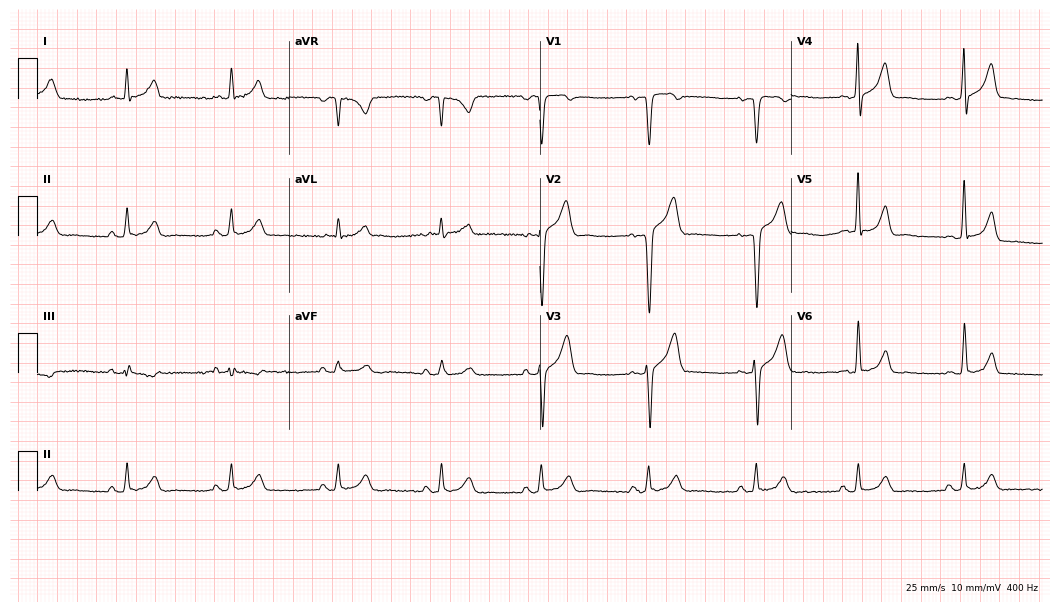
Resting 12-lead electrocardiogram. Patient: a male, 46 years old. None of these six findings is recorded: first-degree AV block, right bundle branch block, left bundle branch block, sinus bradycardia, atrial fibrillation, sinus tachycardia. Findings outside these six are not listed.